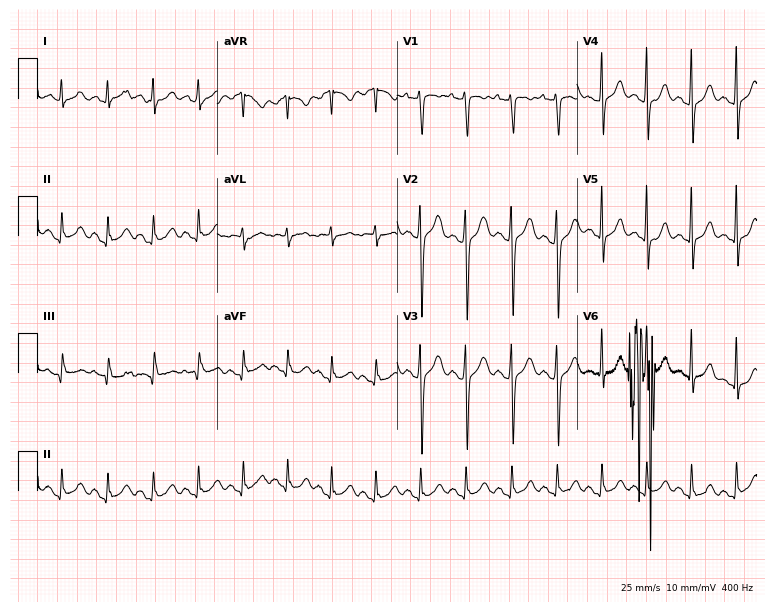
ECG — a 24-year-old female. Findings include sinus tachycardia (a sinus rate of 100 beats per minute or more).